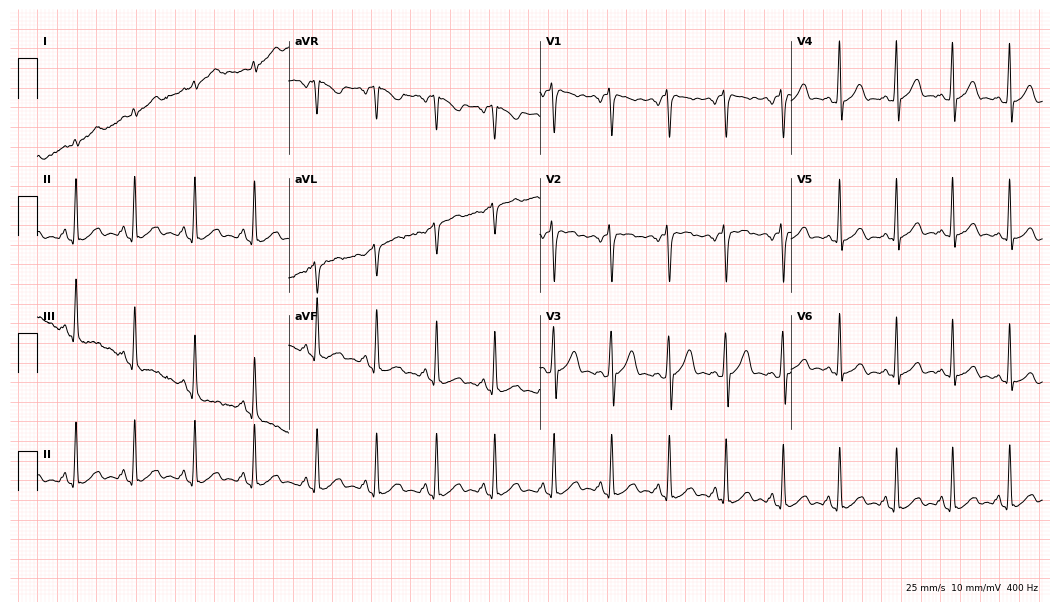
Standard 12-lead ECG recorded from a male patient, 22 years old. The tracing shows sinus tachycardia (a sinus rate of 100 beats per minute or more).